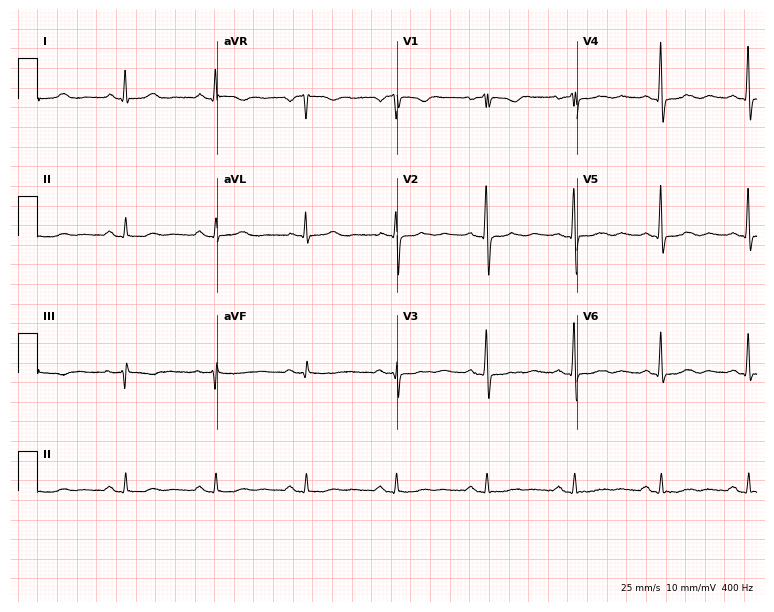
Resting 12-lead electrocardiogram. Patient: a woman, 82 years old. None of these six findings is recorded: first-degree AV block, right bundle branch block (RBBB), left bundle branch block (LBBB), sinus bradycardia, atrial fibrillation (AF), sinus tachycardia.